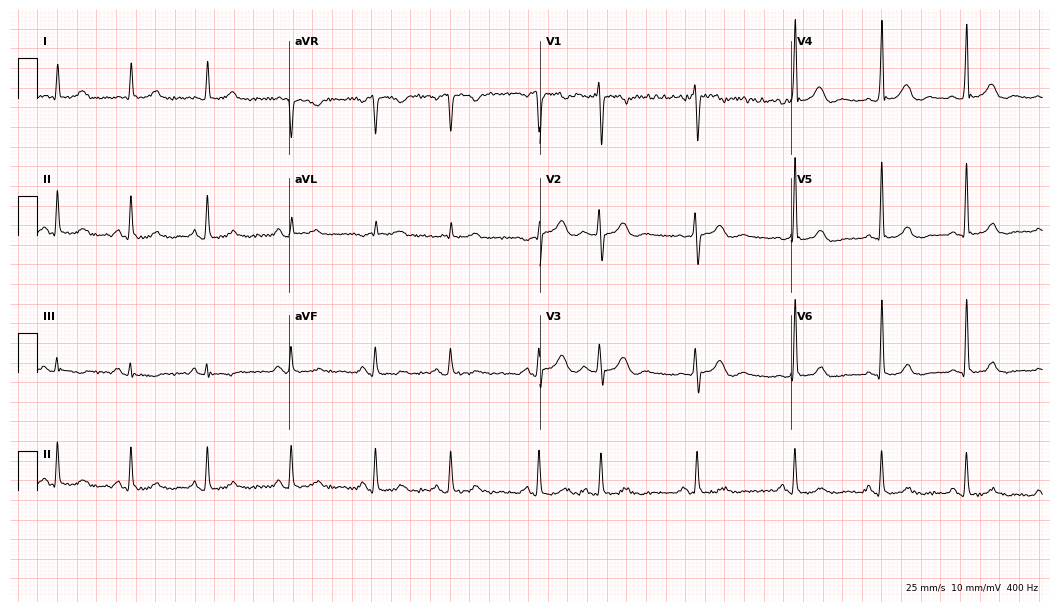
Standard 12-lead ECG recorded from a man, 49 years old (10.2-second recording at 400 Hz). None of these six findings is recorded: first-degree AV block, right bundle branch block, left bundle branch block, sinus bradycardia, atrial fibrillation, sinus tachycardia. Other findings, if any, are not listed.